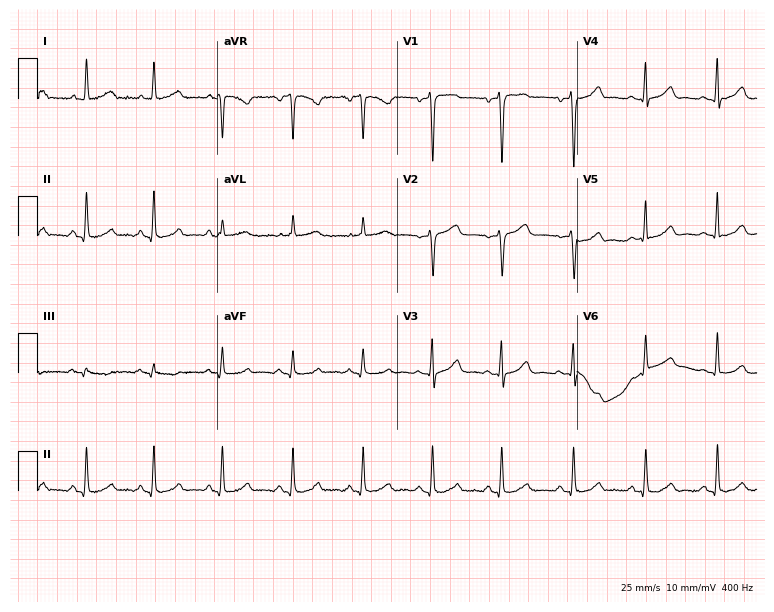
12-lead ECG from a 53-year-old woman. Recorded interpretation: within normal limits.